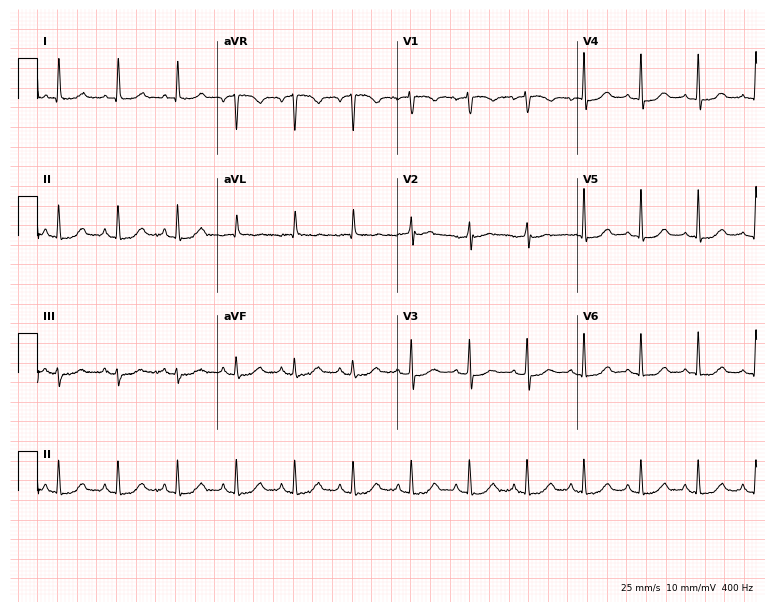
Electrocardiogram (7.3-second recording at 400 Hz), a 65-year-old woman. Interpretation includes sinus tachycardia (a sinus rate of 100 beats per minute or more).